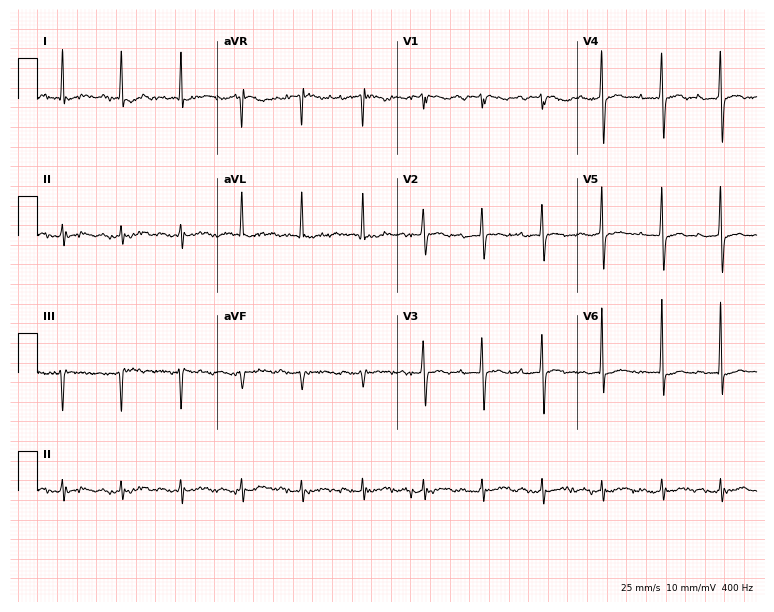
Electrocardiogram, an 82-year-old female patient. Interpretation includes first-degree AV block.